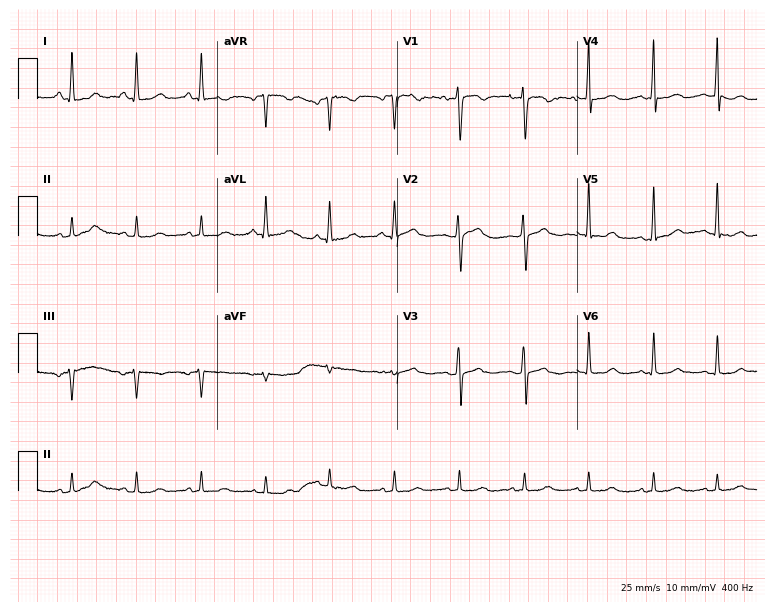
12-lead ECG from a female patient, 39 years old. No first-degree AV block, right bundle branch block (RBBB), left bundle branch block (LBBB), sinus bradycardia, atrial fibrillation (AF) or sinus tachycardia recorded for this tracing. Other findings, if any, are not listed.